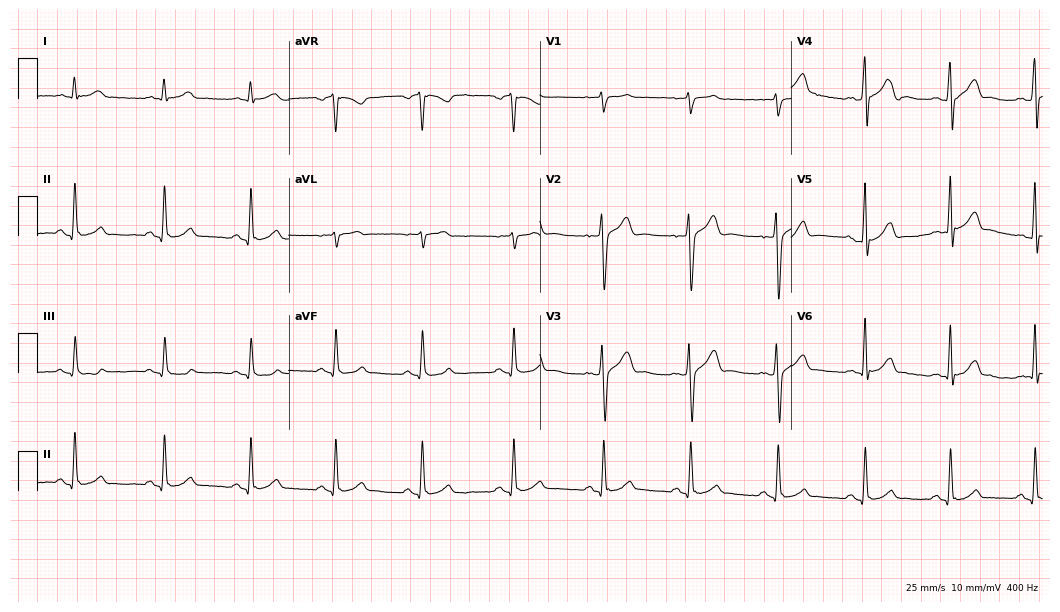
Standard 12-lead ECG recorded from a man, 24 years old. Read as a normal ECG.